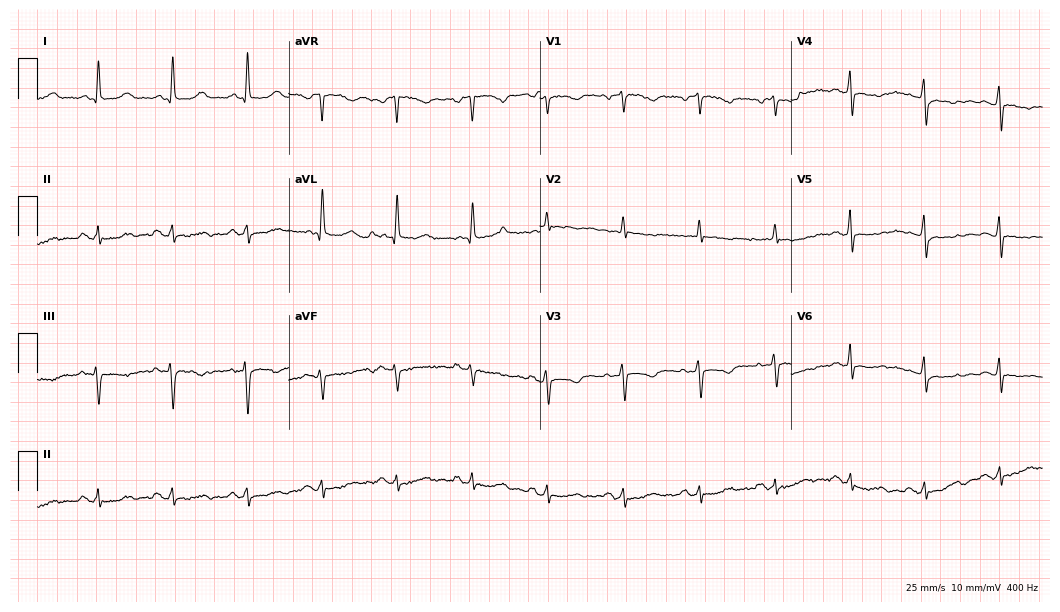
12-lead ECG (10.2-second recording at 400 Hz) from a 69-year-old female. Screened for six findings — first-degree AV block, right bundle branch block, left bundle branch block, sinus bradycardia, atrial fibrillation, sinus tachycardia — none is recorded.